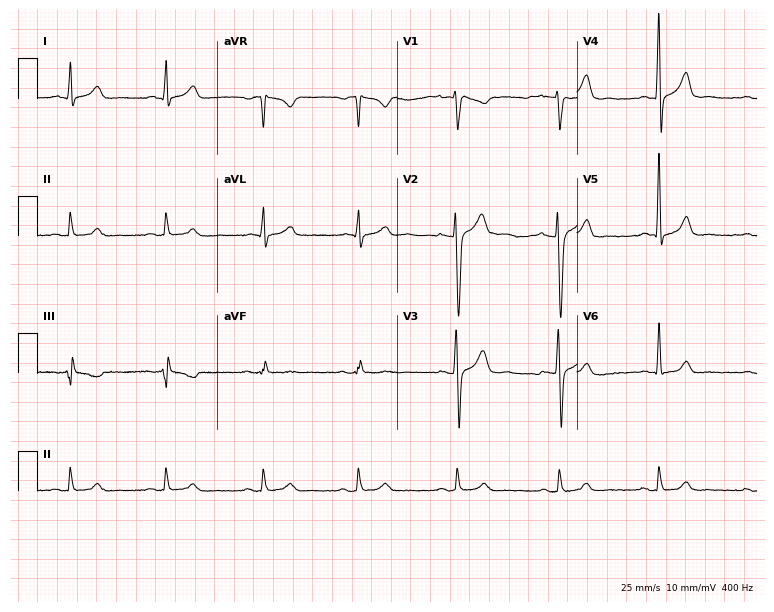
Resting 12-lead electrocardiogram (7.3-second recording at 400 Hz). Patient: a male, 41 years old. None of these six findings is recorded: first-degree AV block, right bundle branch block, left bundle branch block, sinus bradycardia, atrial fibrillation, sinus tachycardia. Only these six findings were labelled.